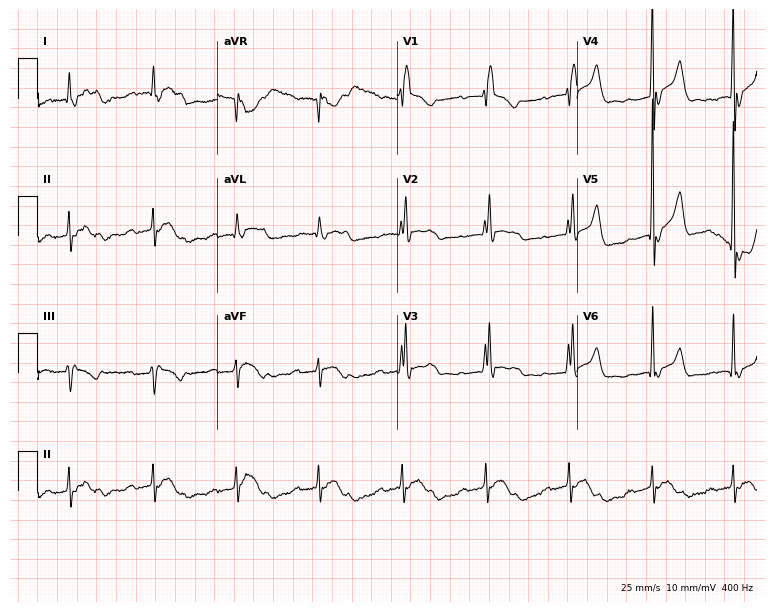
Resting 12-lead electrocardiogram (7.3-second recording at 400 Hz). Patient: a 76-year-old male. The tracing shows first-degree AV block, right bundle branch block (RBBB).